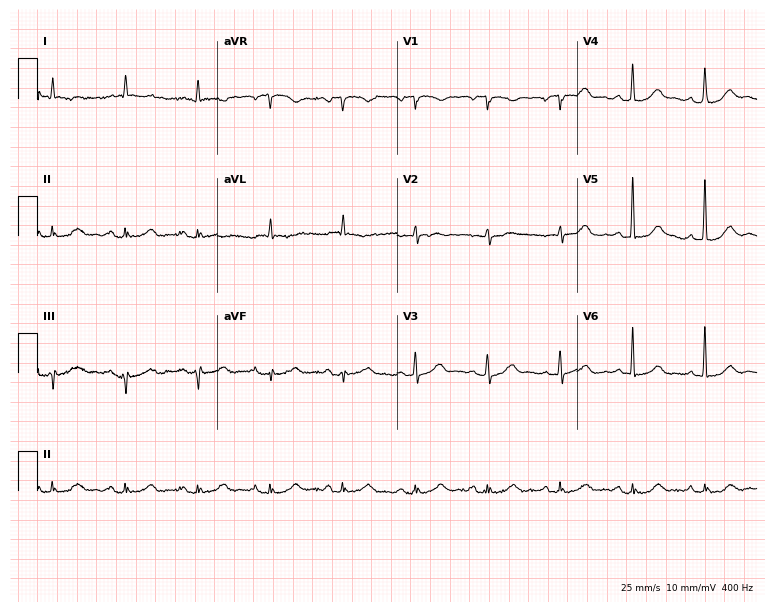
12-lead ECG from a male patient, 75 years old. Labelled as a normal ECG.